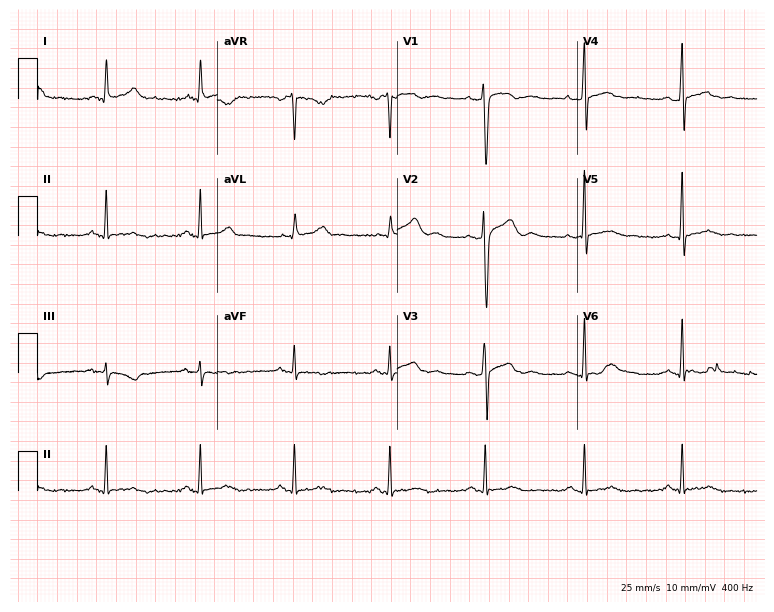
12-lead ECG from a 34-year-old man. No first-degree AV block, right bundle branch block, left bundle branch block, sinus bradycardia, atrial fibrillation or sinus tachycardia recorded for this tracing.